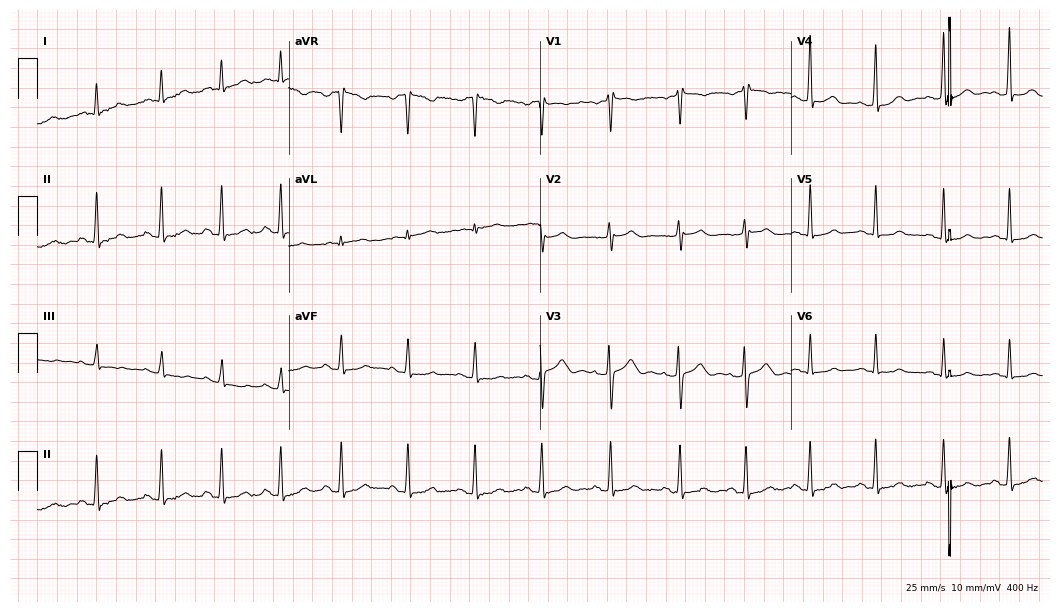
ECG (10.2-second recording at 400 Hz) — a 28-year-old woman. Labelled as a normal ECG.